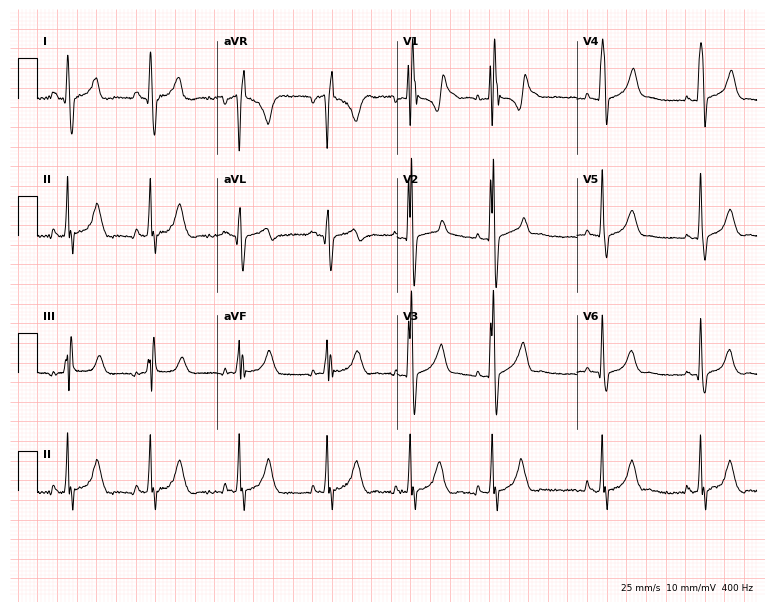
Electrocardiogram, a male patient, 19 years old. Interpretation includes right bundle branch block (RBBB).